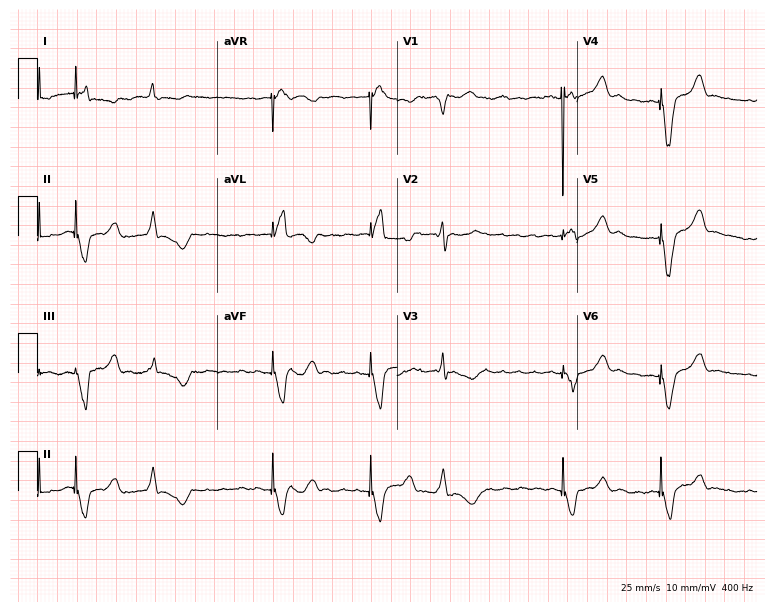
Electrocardiogram (7.3-second recording at 400 Hz), a 65-year-old woman. Of the six screened findings (first-degree AV block, right bundle branch block (RBBB), left bundle branch block (LBBB), sinus bradycardia, atrial fibrillation (AF), sinus tachycardia), none is recorded. Findings outside these six are not listed.